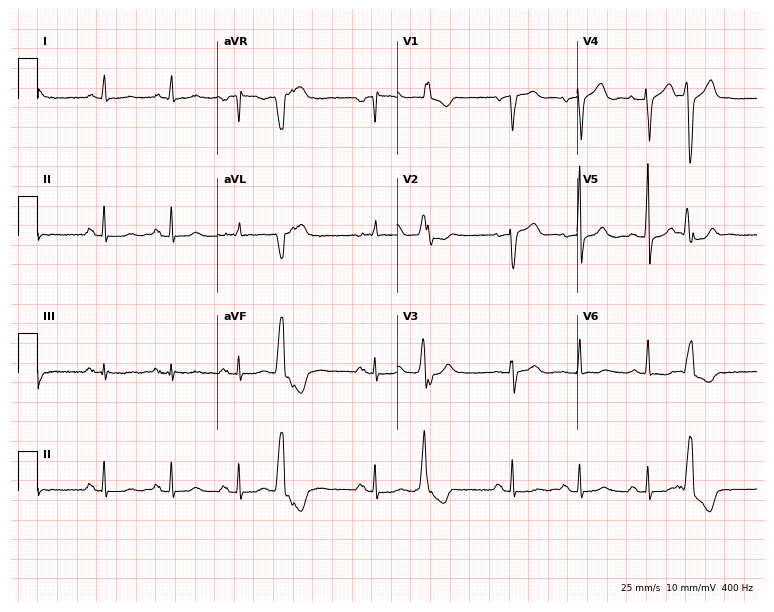
ECG (7.3-second recording at 400 Hz) — an 85-year-old male patient. Screened for six findings — first-degree AV block, right bundle branch block, left bundle branch block, sinus bradycardia, atrial fibrillation, sinus tachycardia — none is recorded. Findings outside these six are not listed.